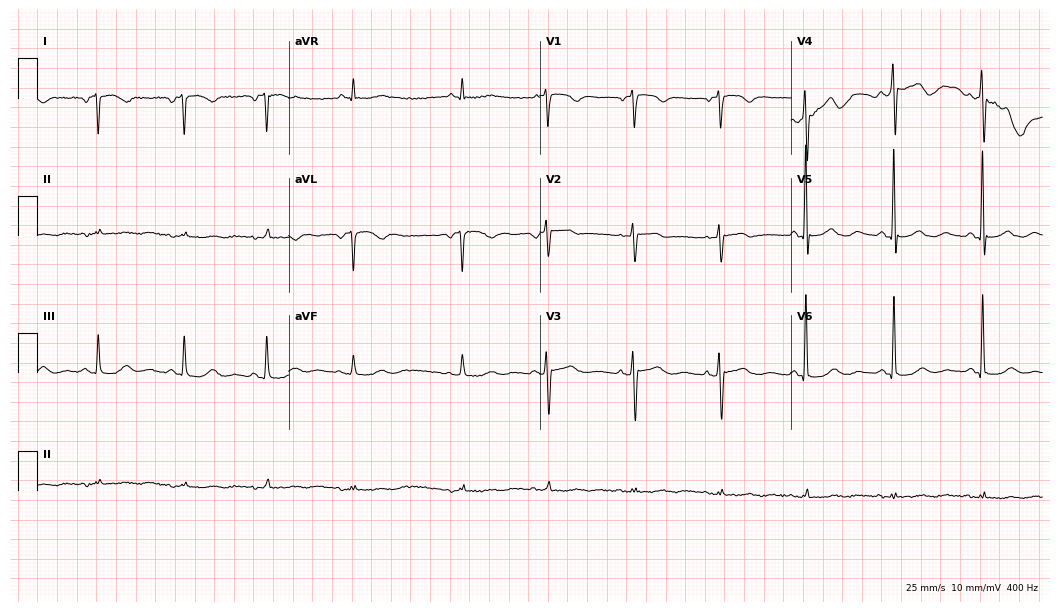
12-lead ECG from a 71-year-old female (10.2-second recording at 400 Hz). No first-degree AV block, right bundle branch block (RBBB), left bundle branch block (LBBB), sinus bradycardia, atrial fibrillation (AF) or sinus tachycardia recorded for this tracing. Only these six findings were labelled.